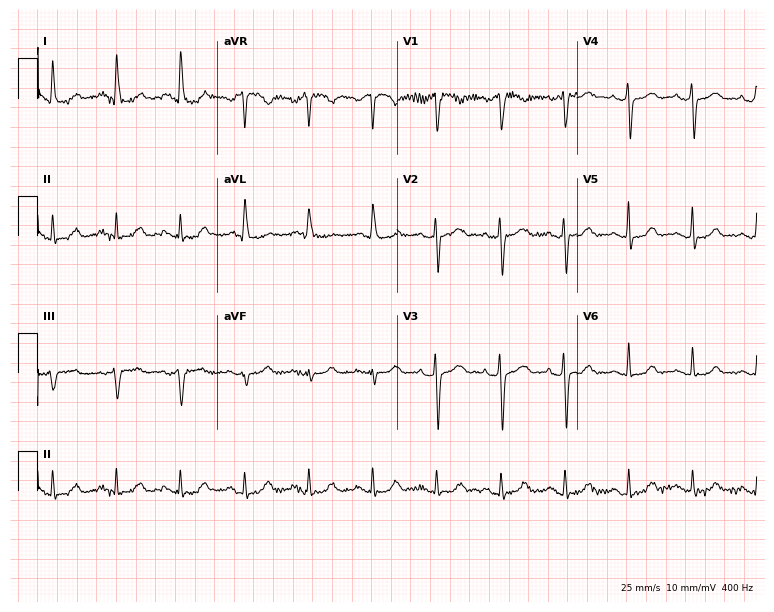
12-lead ECG from a woman, 64 years old. No first-degree AV block, right bundle branch block (RBBB), left bundle branch block (LBBB), sinus bradycardia, atrial fibrillation (AF) or sinus tachycardia recorded for this tracing.